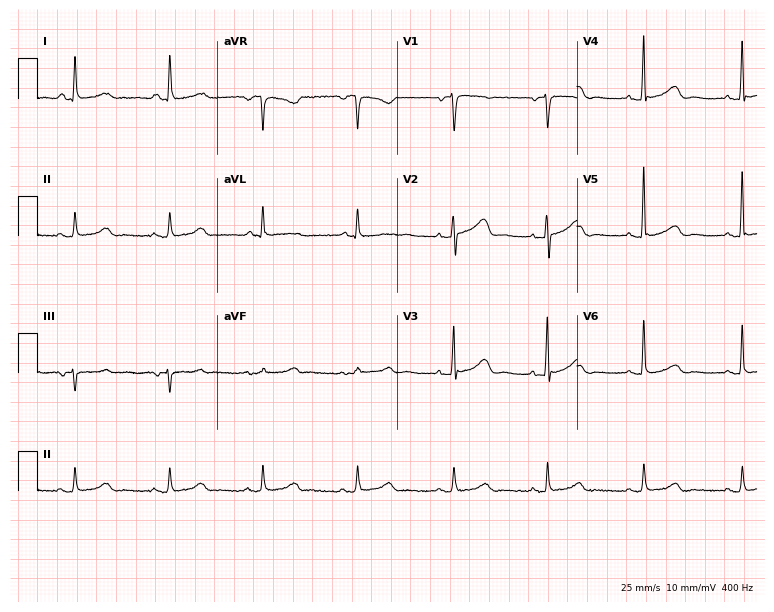
Electrocardiogram, an 83-year-old female patient. Overall reading on record: normal ECG.